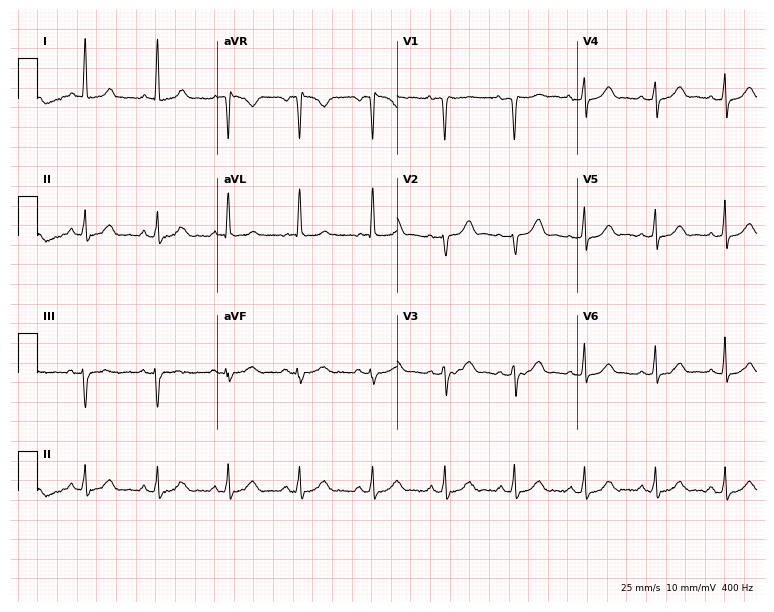
Standard 12-lead ECG recorded from a woman, 48 years old. Read as a normal ECG.